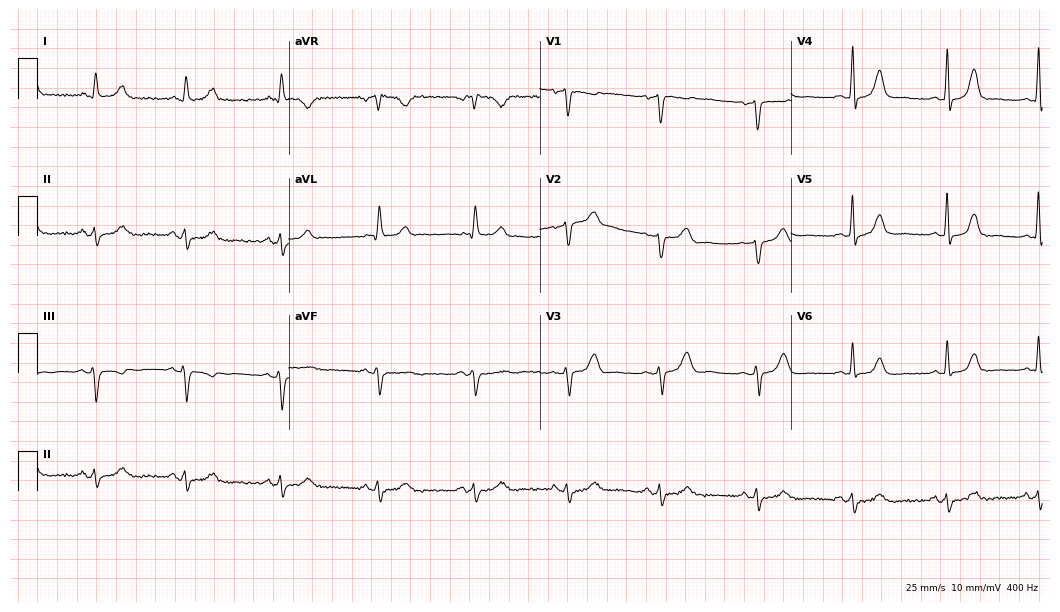
ECG — a female patient, 55 years old. Labelled as a normal ECG.